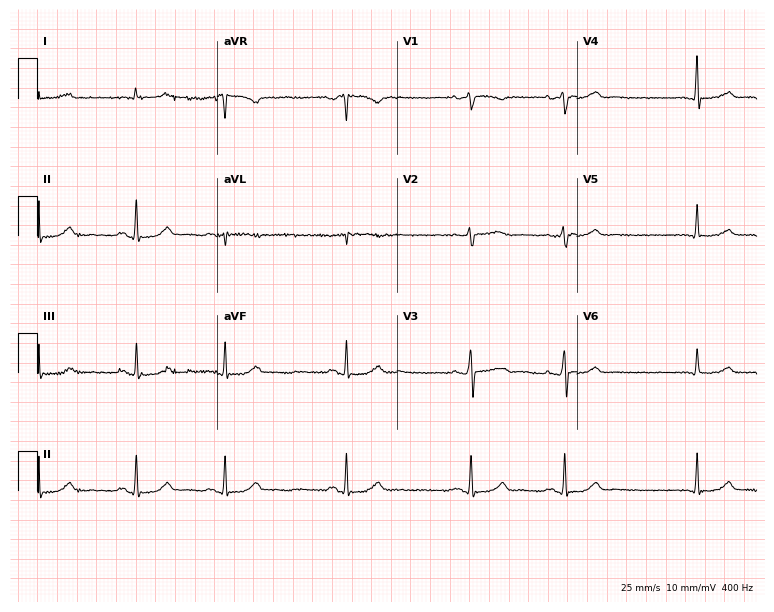
ECG — a 68-year-old woman. Screened for six findings — first-degree AV block, right bundle branch block (RBBB), left bundle branch block (LBBB), sinus bradycardia, atrial fibrillation (AF), sinus tachycardia — none is recorded.